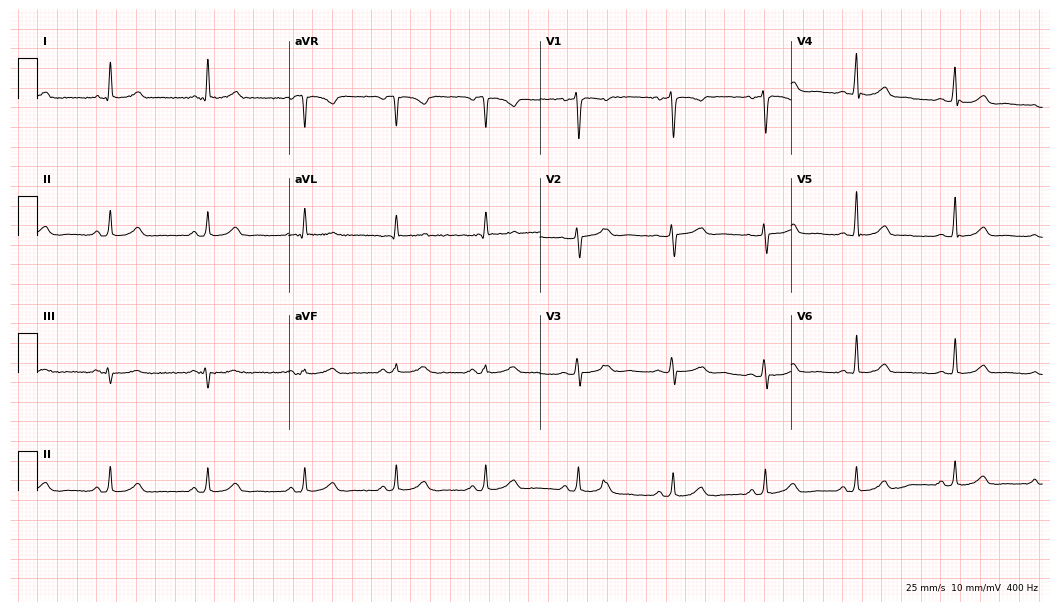
Resting 12-lead electrocardiogram. Patient: a 41-year-old woman. Read as a normal ECG.